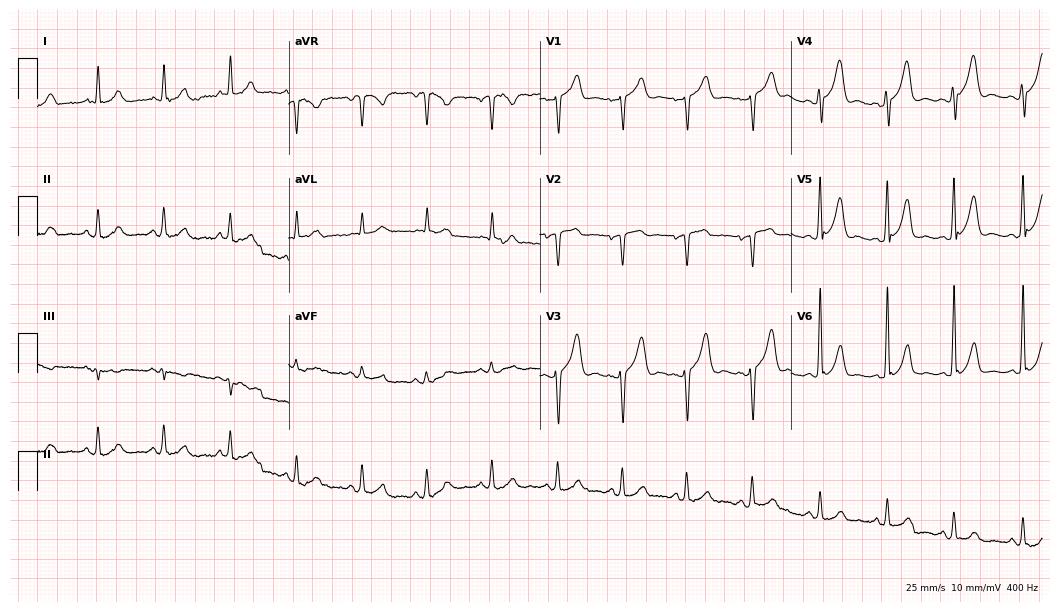
ECG (10.2-second recording at 400 Hz) — a male, 57 years old. Screened for six findings — first-degree AV block, right bundle branch block, left bundle branch block, sinus bradycardia, atrial fibrillation, sinus tachycardia — none is recorded.